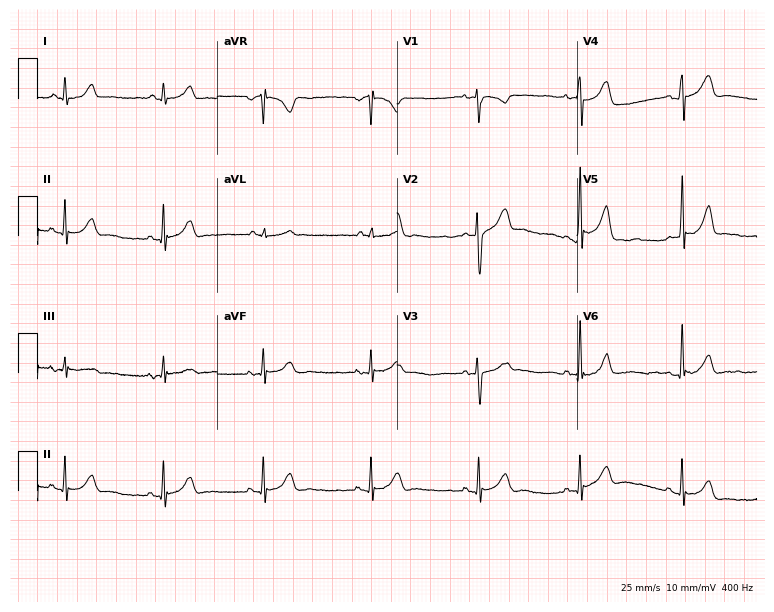
Resting 12-lead electrocardiogram. Patient: a female, 23 years old. Read as a normal ECG.